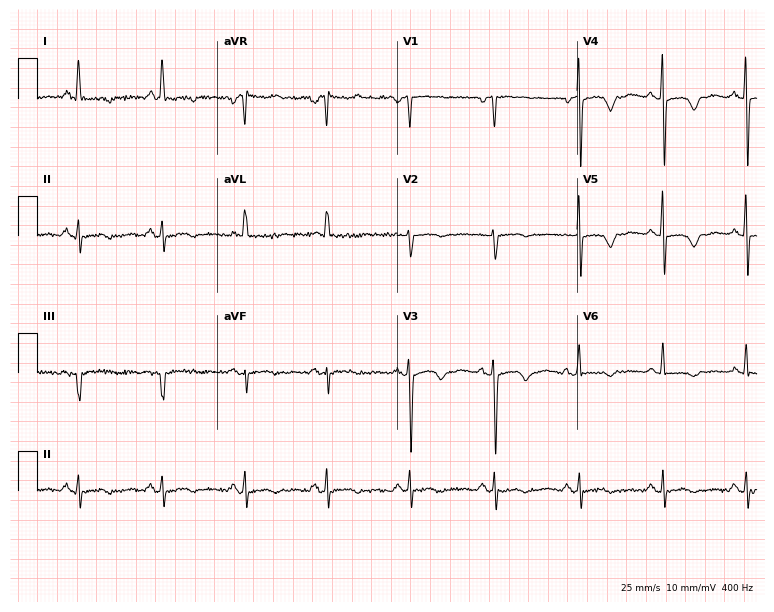
Standard 12-lead ECG recorded from a 60-year-old woman (7.3-second recording at 400 Hz). None of these six findings is recorded: first-degree AV block, right bundle branch block (RBBB), left bundle branch block (LBBB), sinus bradycardia, atrial fibrillation (AF), sinus tachycardia.